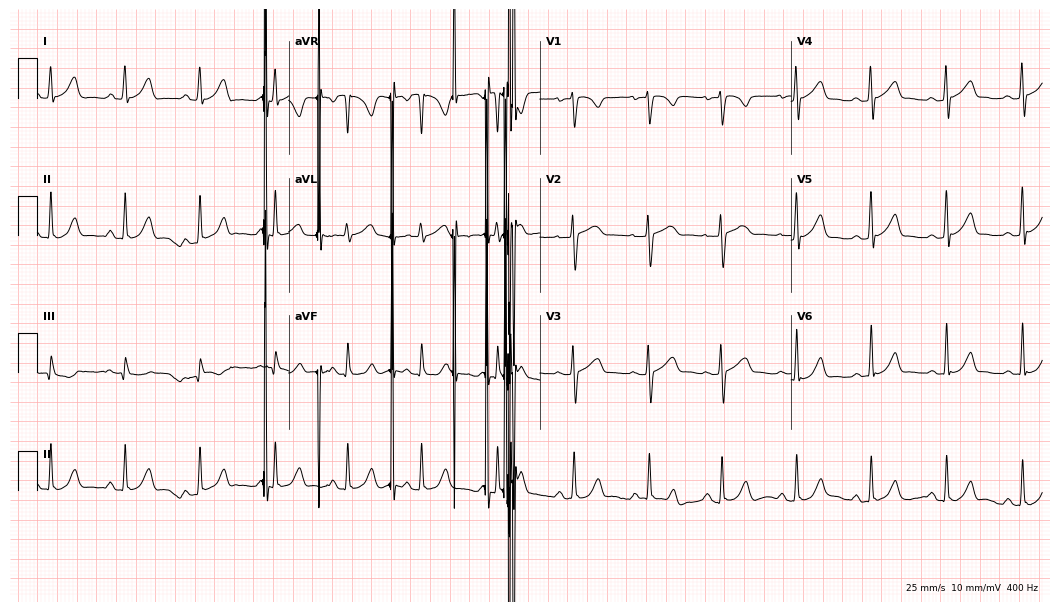
Resting 12-lead electrocardiogram (10.2-second recording at 400 Hz). Patient: a 24-year-old female. None of these six findings is recorded: first-degree AV block, right bundle branch block, left bundle branch block, sinus bradycardia, atrial fibrillation, sinus tachycardia. Only these six findings were labelled.